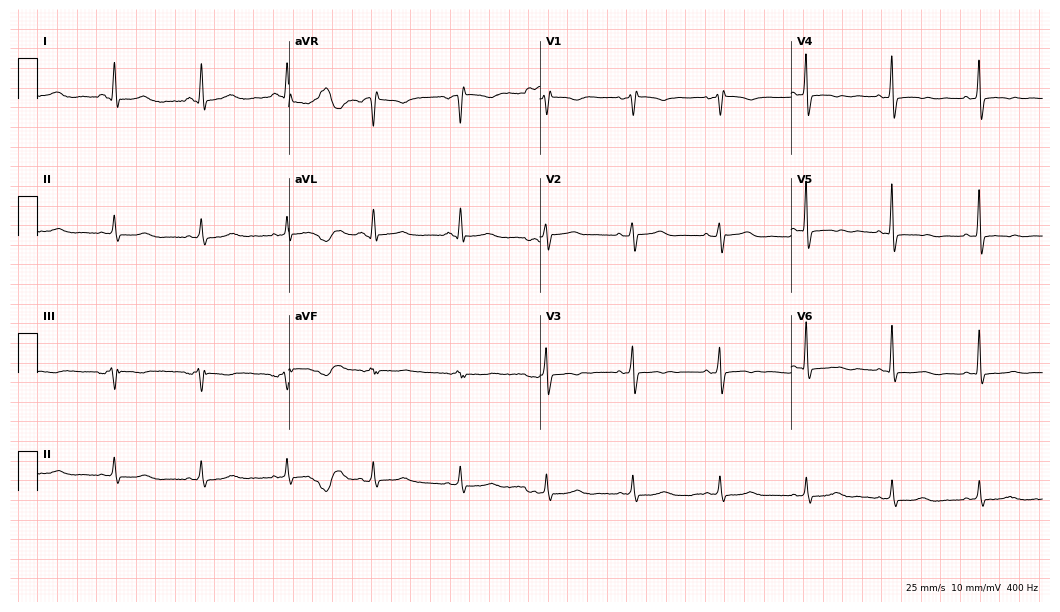
12-lead ECG from an 81-year-old female patient (10.2-second recording at 400 Hz). No first-degree AV block, right bundle branch block, left bundle branch block, sinus bradycardia, atrial fibrillation or sinus tachycardia recorded for this tracing. Findings outside these six are not listed.